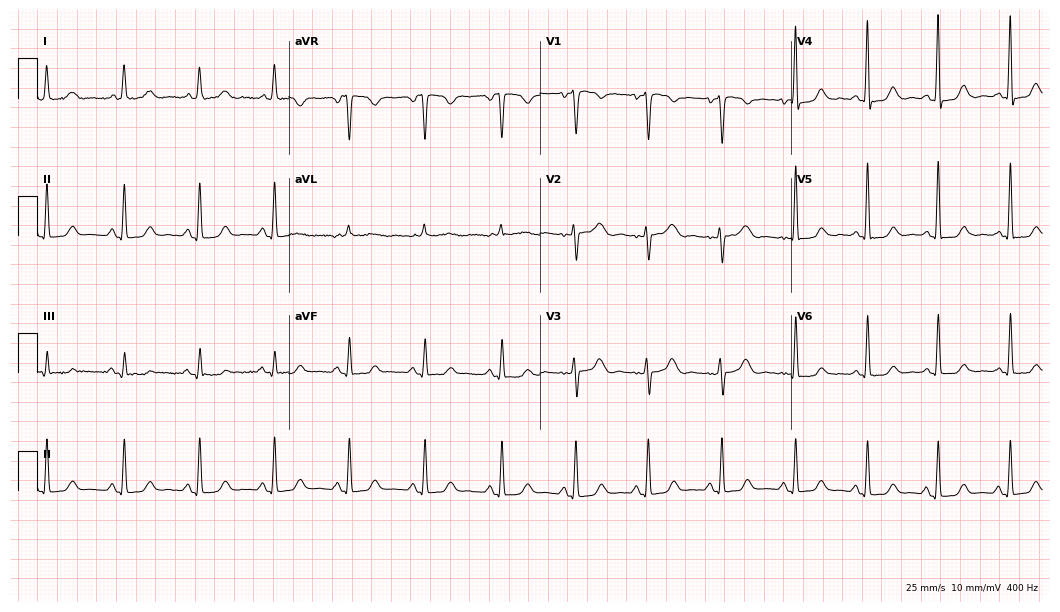
12-lead ECG from a 52-year-old woman. Screened for six findings — first-degree AV block, right bundle branch block, left bundle branch block, sinus bradycardia, atrial fibrillation, sinus tachycardia — none is recorded.